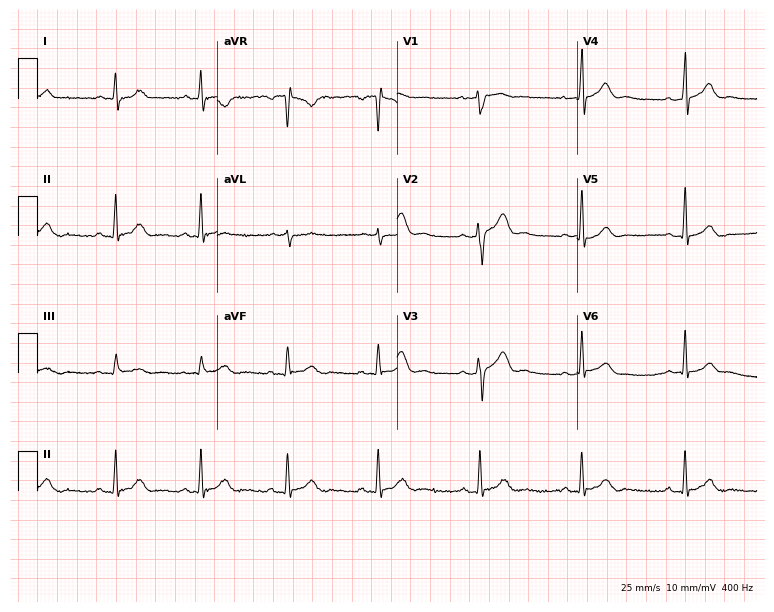
12-lead ECG from a 32-year-old male patient. Recorded interpretation: within normal limits.